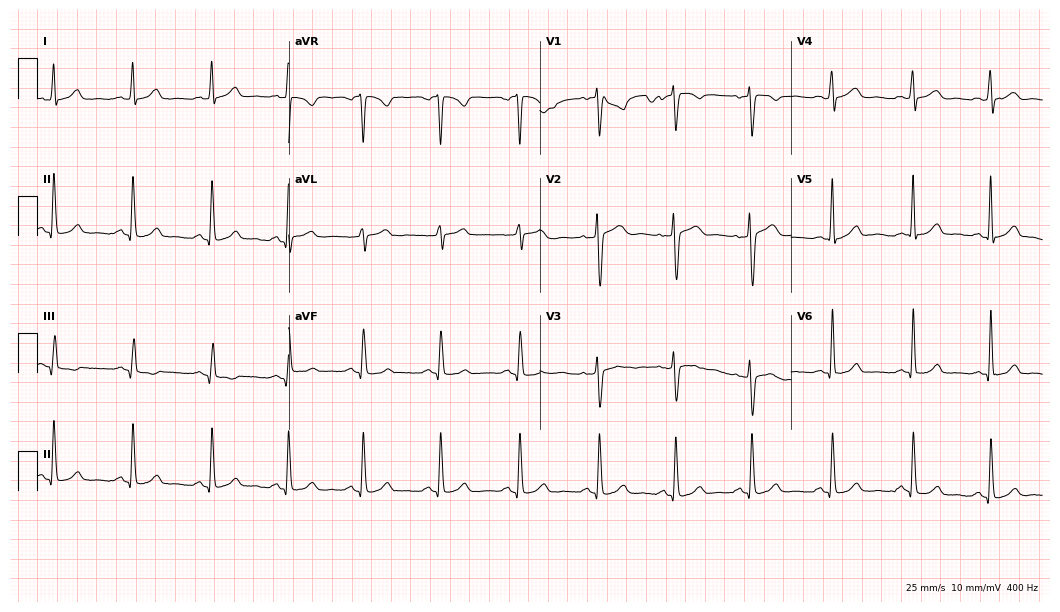
Standard 12-lead ECG recorded from a 43-year-old woman (10.2-second recording at 400 Hz). None of these six findings is recorded: first-degree AV block, right bundle branch block, left bundle branch block, sinus bradycardia, atrial fibrillation, sinus tachycardia.